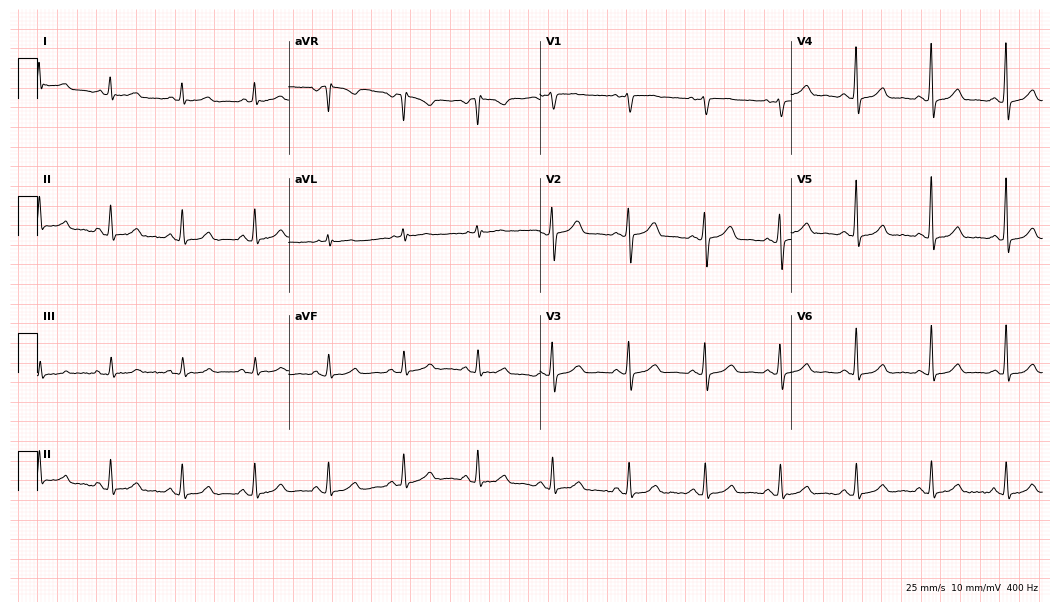
Resting 12-lead electrocardiogram. Patient: a female, 69 years old. Read as a normal ECG.